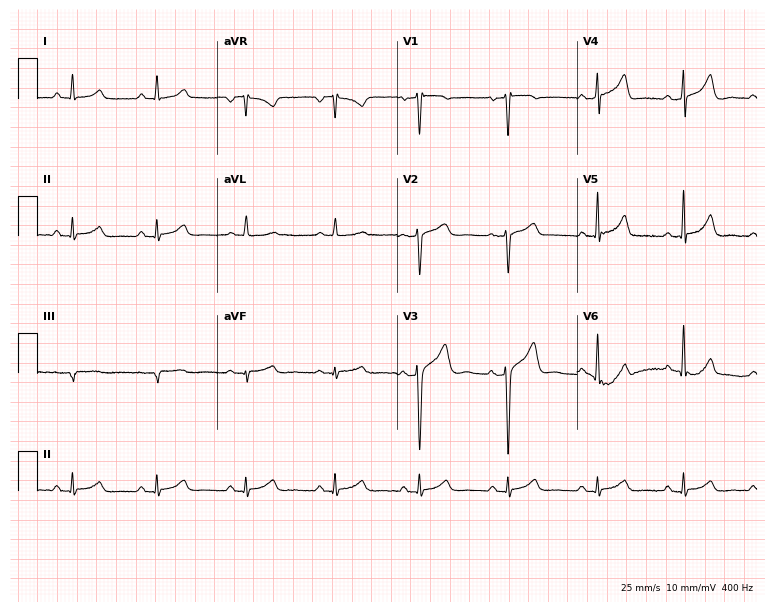
12-lead ECG from a 57-year-old male patient. Recorded interpretation: within normal limits.